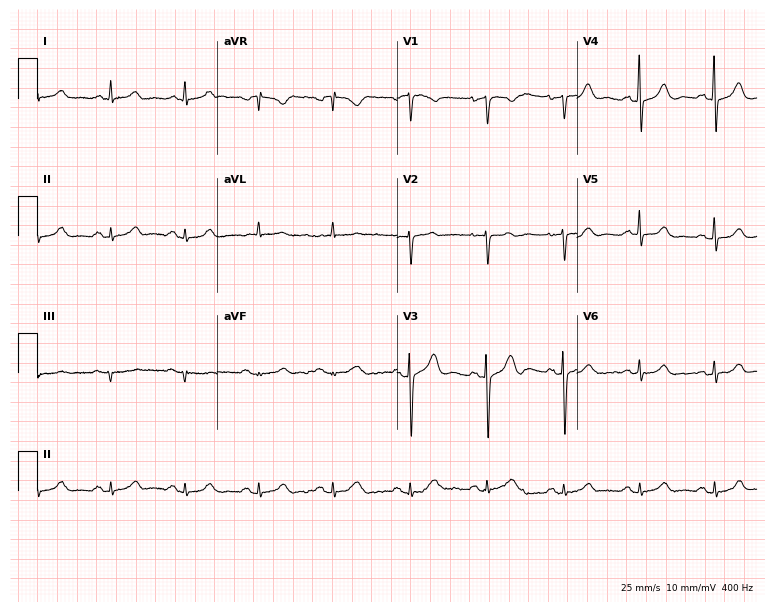
Resting 12-lead electrocardiogram. Patient: a 75-year-old man. None of these six findings is recorded: first-degree AV block, right bundle branch block (RBBB), left bundle branch block (LBBB), sinus bradycardia, atrial fibrillation (AF), sinus tachycardia. Other findings, if any, are not listed.